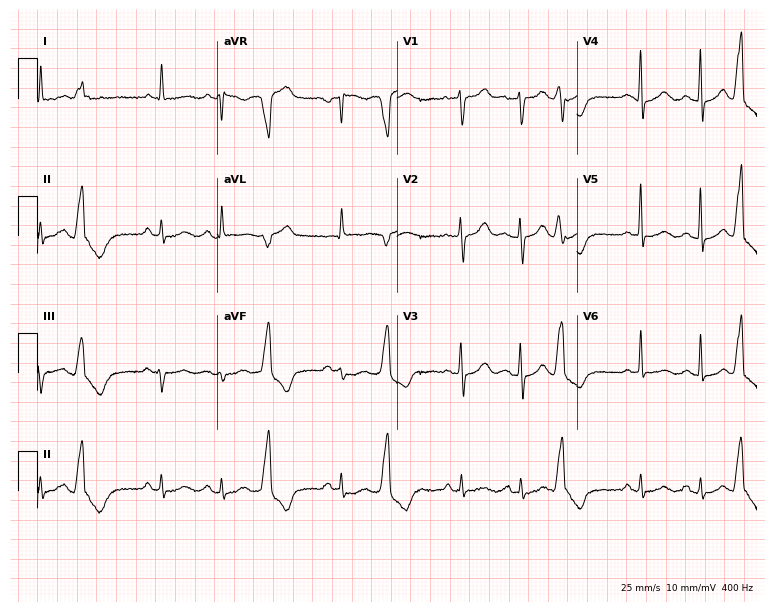
Resting 12-lead electrocardiogram. Patient: a 61-year-old man. None of these six findings is recorded: first-degree AV block, right bundle branch block (RBBB), left bundle branch block (LBBB), sinus bradycardia, atrial fibrillation (AF), sinus tachycardia.